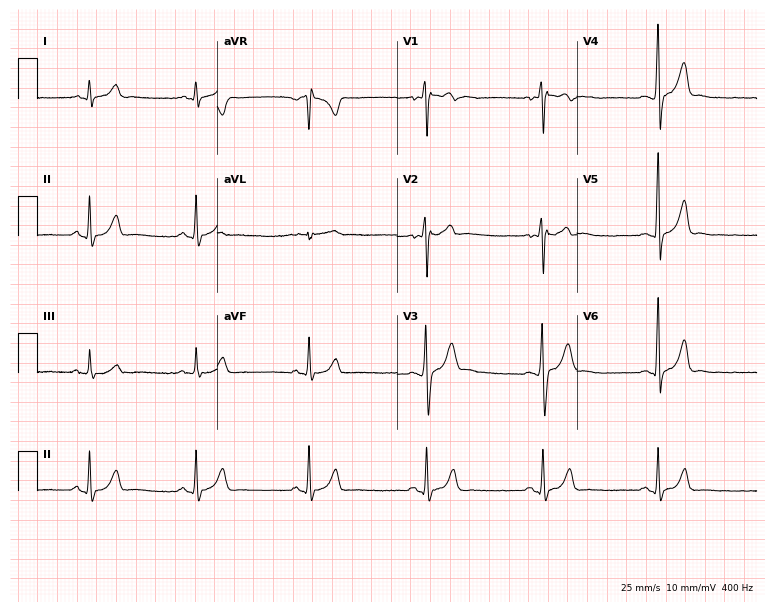
12-lead ECG from an 18-year-old male (7.3-second recording at 400 Hz). No first-degree AV block, right bundle branch block, left bundle branch block, sinus bradycardia, atrial fibrillation or sinus tachycardia recorded for this tracing.